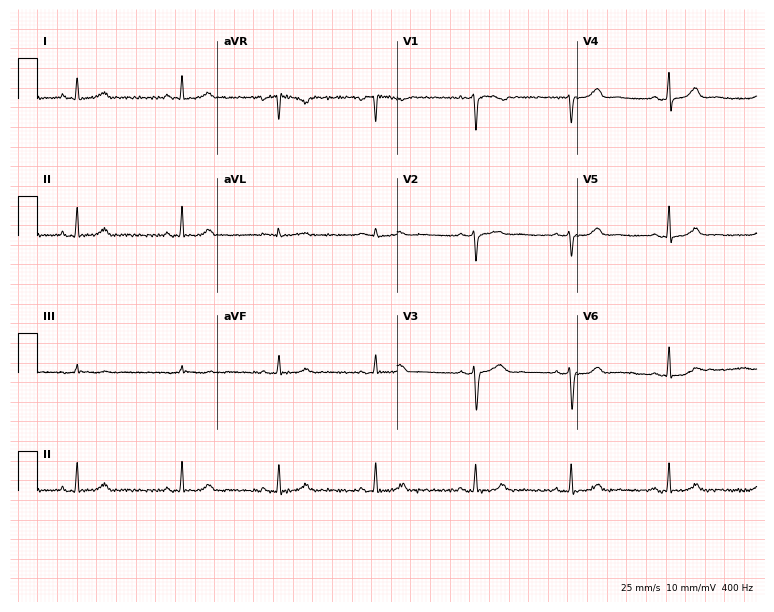
12-lead ECG from a 42-year-old female patient (7.3-second recording at 400 Hz). No first-degree AV block, right bundle branch block, left bundle branch block, sinus bradycardia, atrial fibrillation or sinus tachycardia recorded for this tracing. Findings outside these six are not listed.